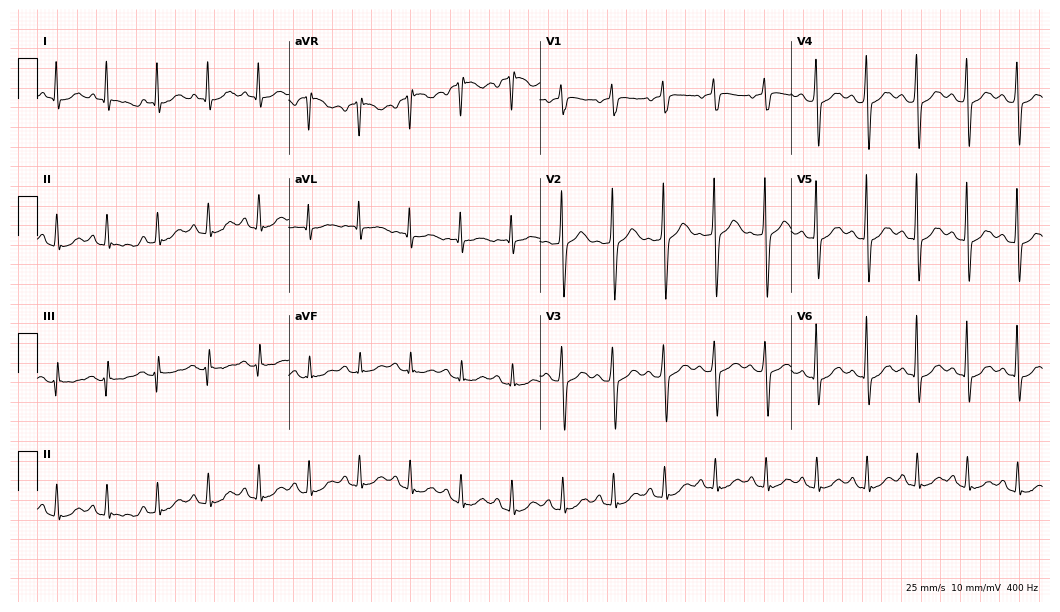
ECG (10.2-second recording at 400 Hz) — a male patient, 57 years old. Findings include sinus tachycardia (a sinus rate of 100 beats per minute or more).